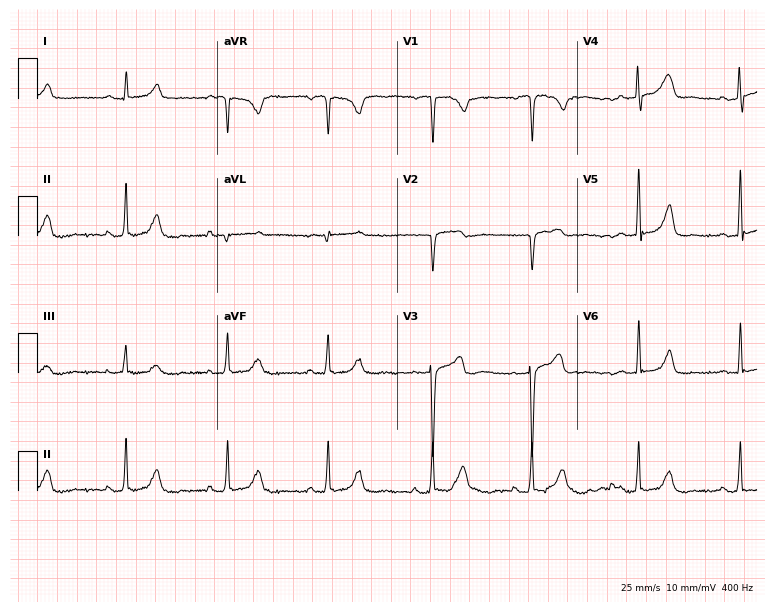
Resting 12-lead electrocardiogram (7.3-second recording at 400 Hz). Patient: a 40-year-old female. Read as a normal ECG.